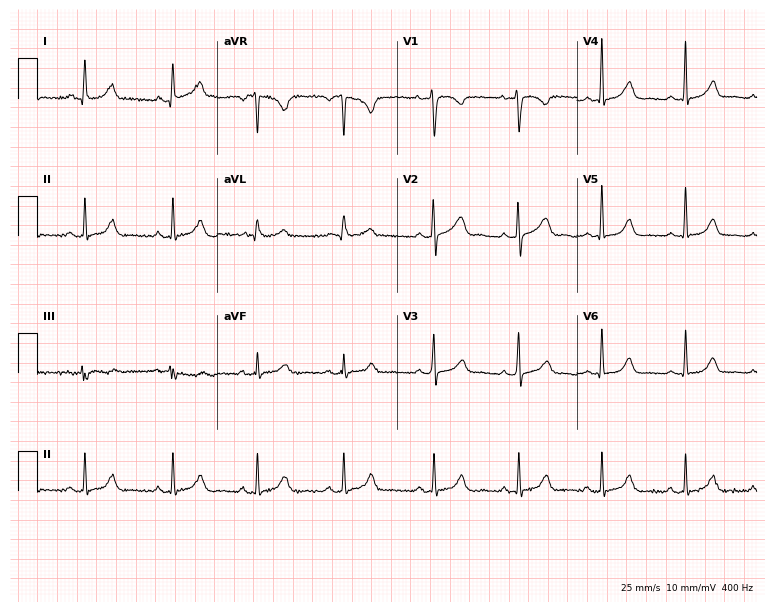
Electrocardiogram (7.3-second recording at 400 Hz), a 41-year-old woman. Of the six screened findings (first-degree AV block, right bundle branch block, left bundle branch block, sinus bradycardia, atrial fibrillation, sinus tachycardia), none is recorded.